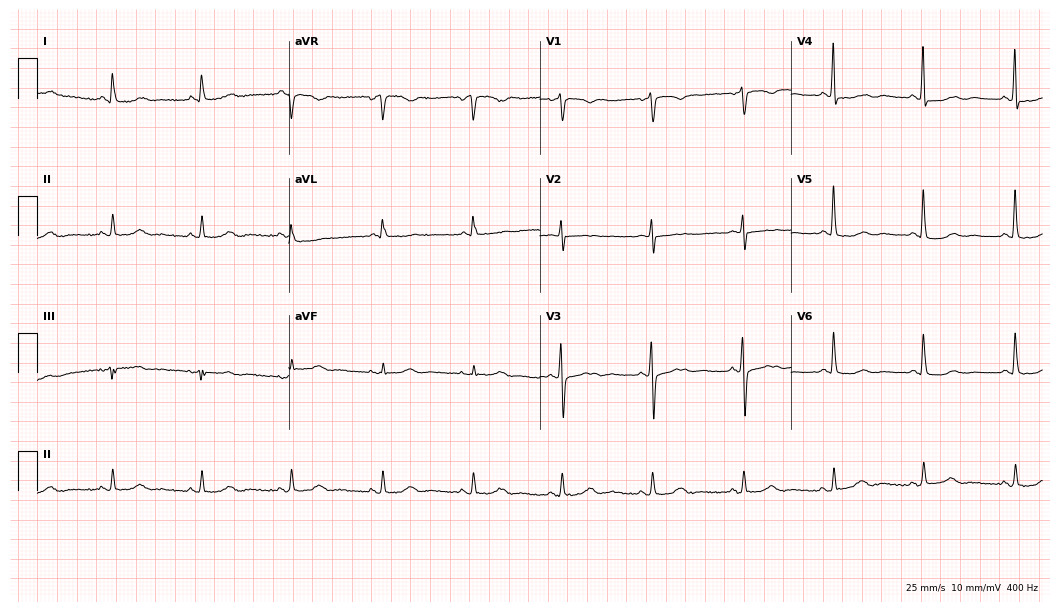
ECG (10.2-second recording at 400 Hz) — a 69-year-old female patient. Screened for six findings — first-degree AV block, right bundle branch block, left bundle branch block, sinus bradycardia, atrial fibrillation, sinus tachycardia — none is recorded. Only these six findings were labelled.